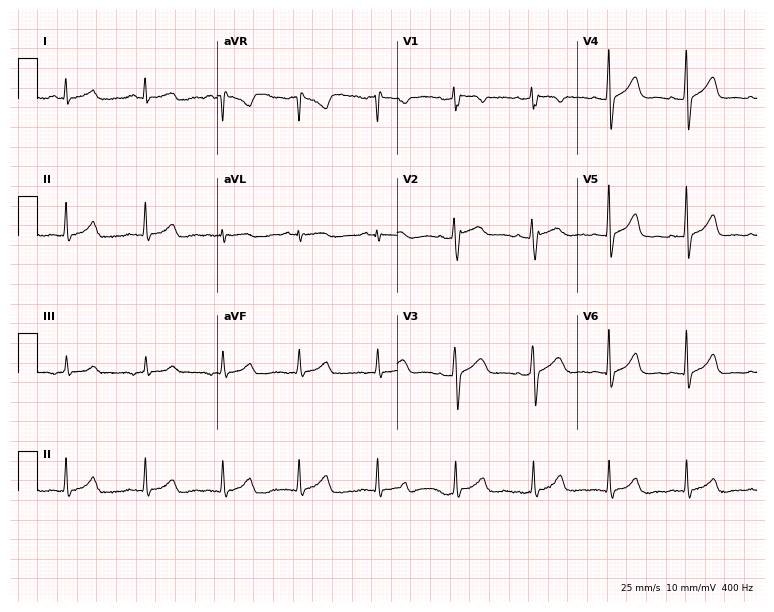
Electrocardiogram (7.3-second recording at 400 Hz), a woman, 34 years old. Overall reading on record: normal ECG.